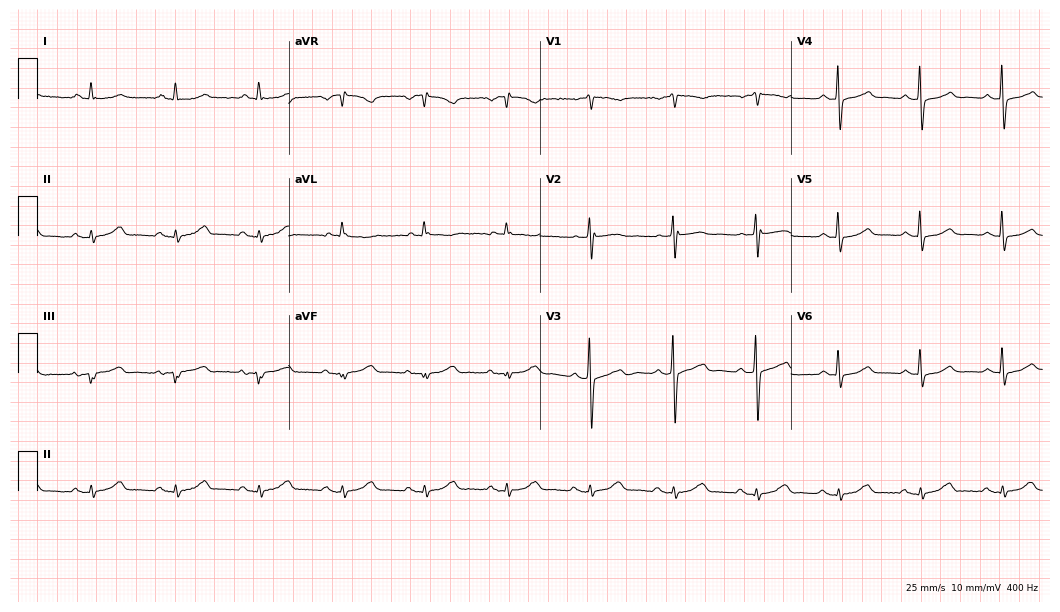
12-lead ECG from a male patient, 80 years old (10.2-second recording at 400 Hz). Recorded interpretation: within normal limits.